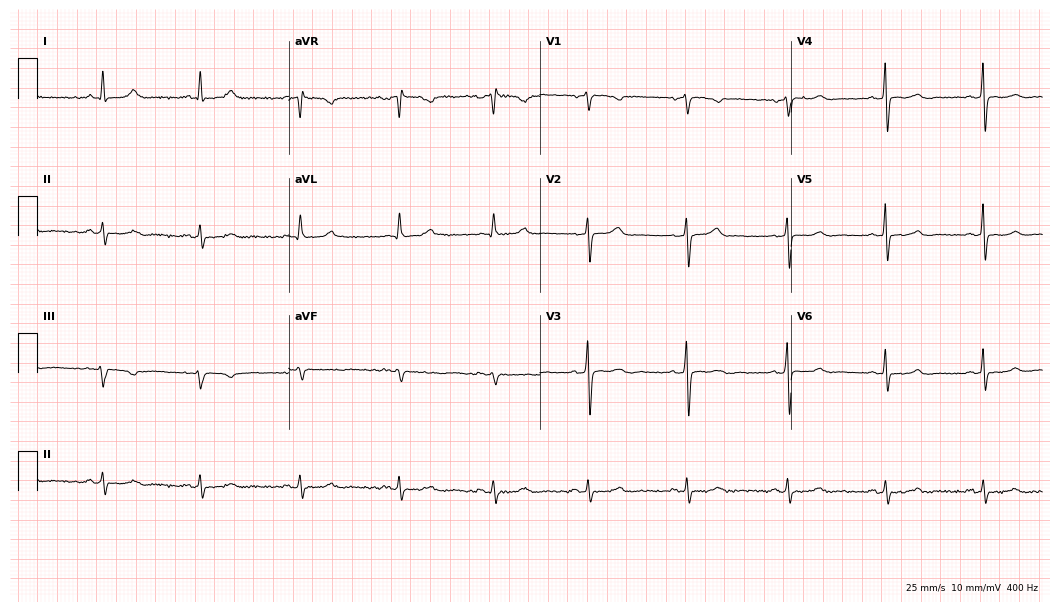
Standard 12-lead ECG recorded from a 39-year-old woman (10.2-second recording at 400 Hz). Read as a normal ECG.